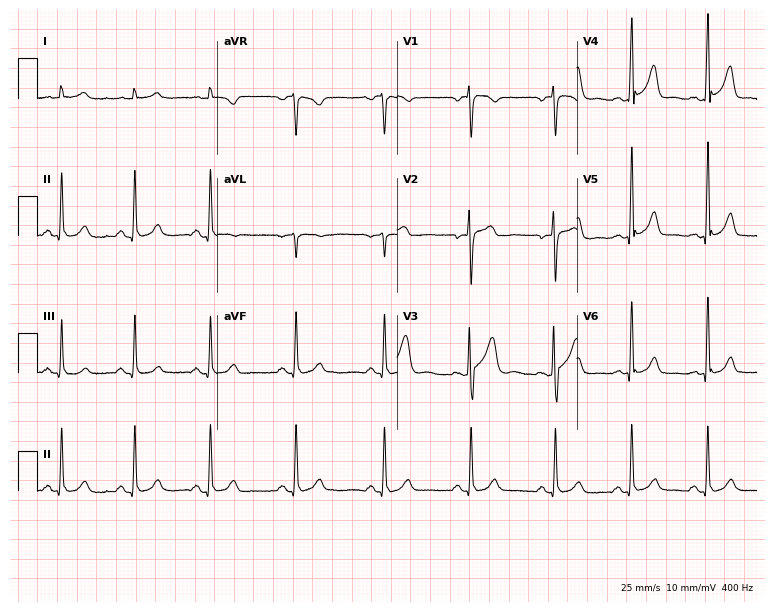
12-lead ECG from a 36-year-old male patient (7.3-second recording at 400 Hz). No first-degree AV block, right bundle branch block, left bundle branch block, sinus bradycardia, atrial fibrillation or sinus tachycardia recorded for this tracing.